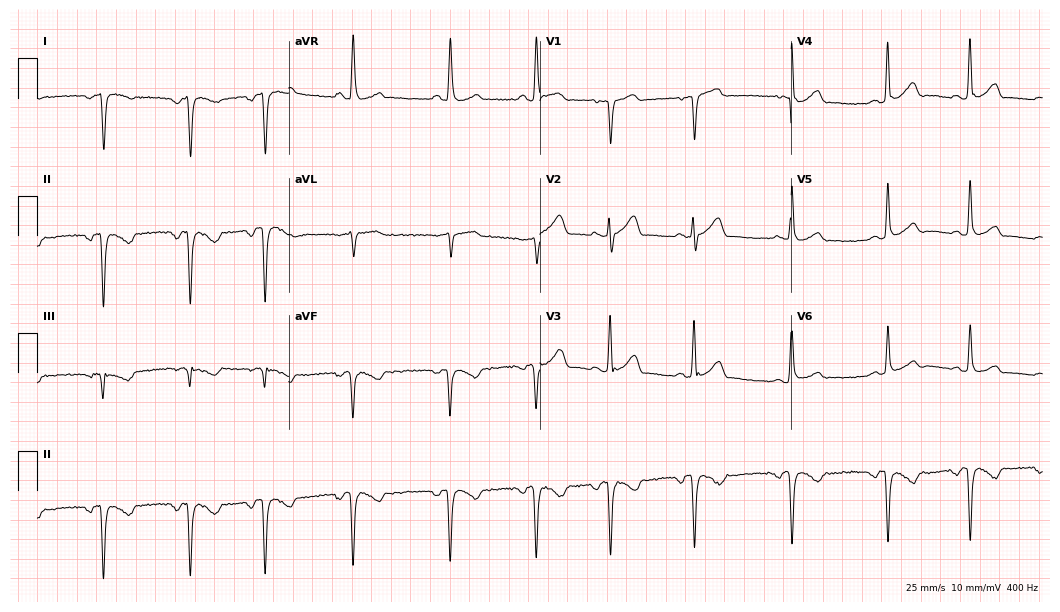
ECG (10.2-second recording at 400 Hz) — a man, 41 years old. Screened for six findings — first-degree AV block, right bundle branch block (RBBB), left bundle branch block (LBBB), sinus bradycardia, atrial fibrillation (AF), sinus tachycardia — none is recorded. Only these six findings were labelled.